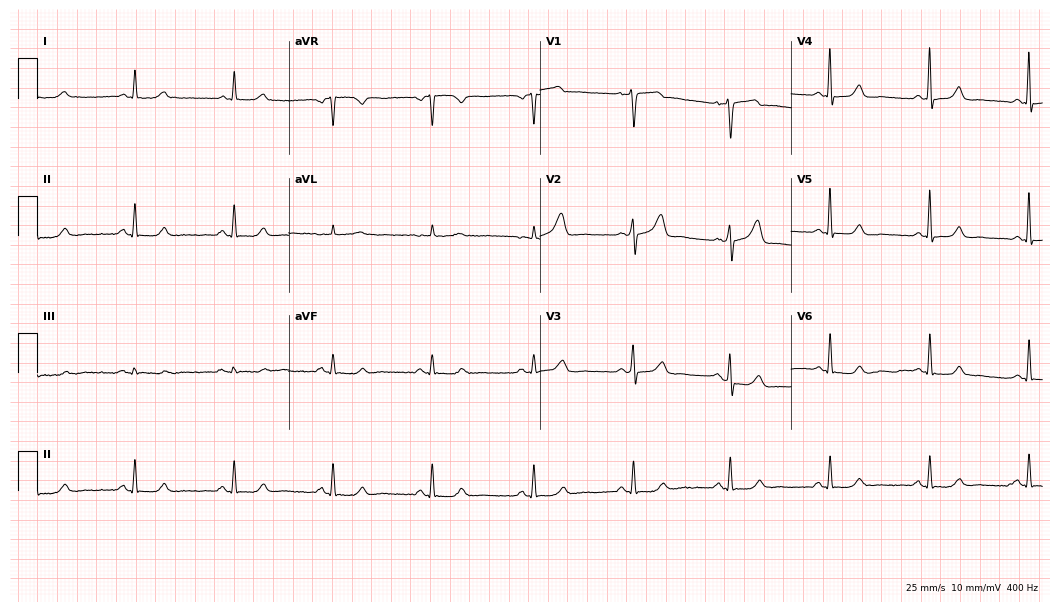
ECG — a 44-year-old female patient. Labelled as a normal ECG.